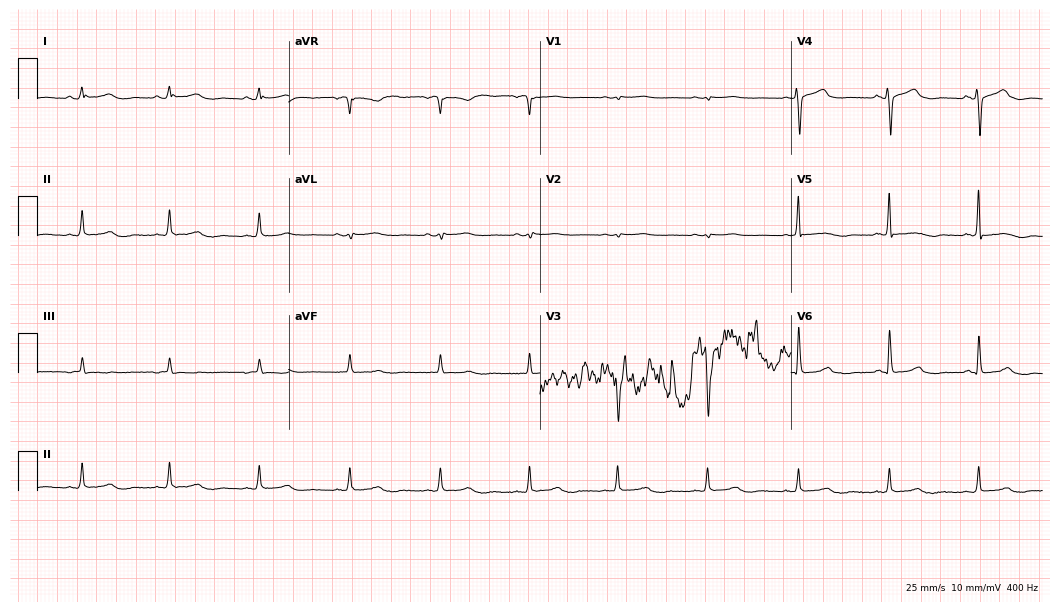
Electrocardiogram, a male, 33 years old. Overall reading on record: normal ECG.